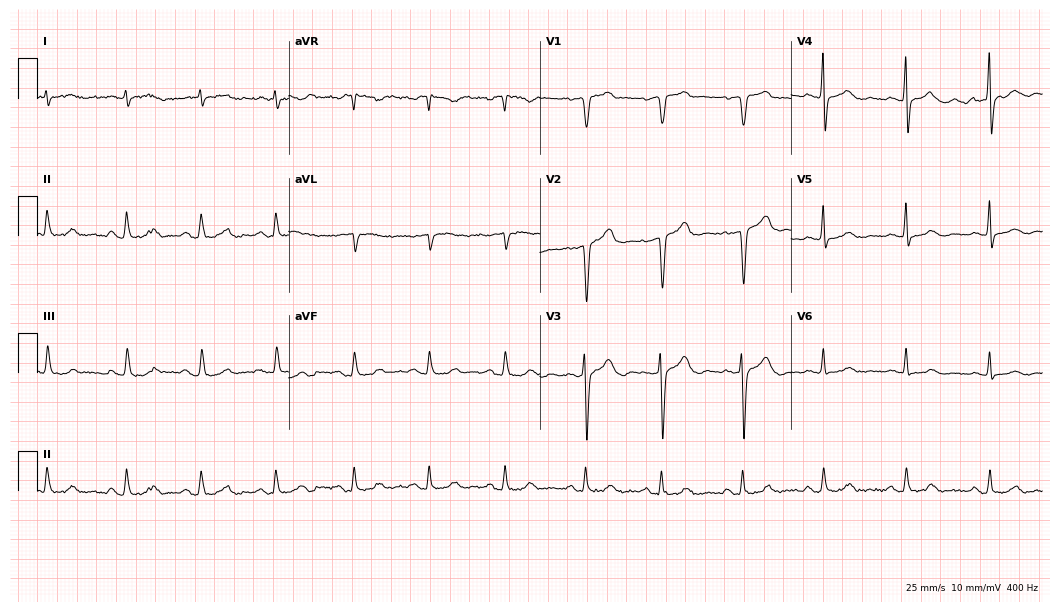
12-lead ECG from a man, 58 years old (10.2-second recording at 400 Hz). No first-degree AV block, right bundle branch block, left bundle branch block, sinus bradycardia, atrial fibrillation or sinus tachycardia recorded for this tracing.